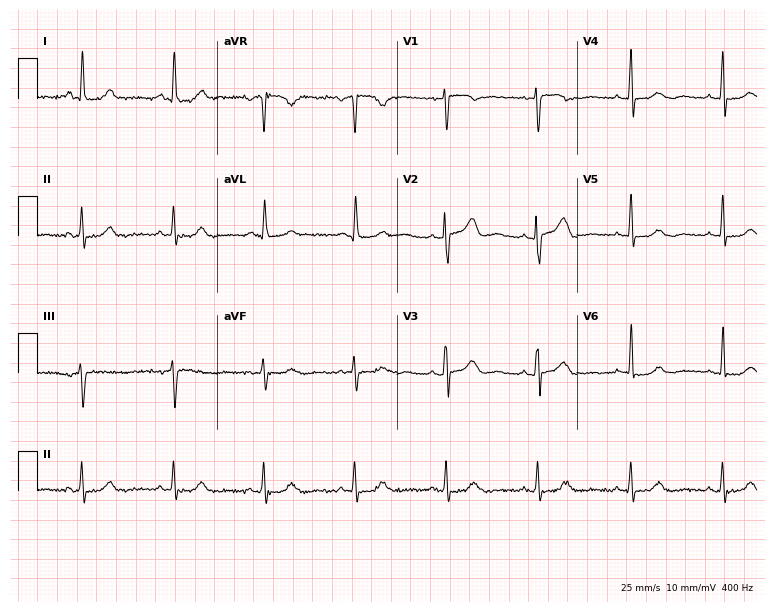
Electrocardiogram (7.3-second recording at 400 Hz), a 53-year-old woman. Of the six screened findings (first-degree AV block, right bundle branch block (RBBB), left bundle branch block (LBBB), sinus bradycardia, atrial fibrillation (AF), sinus tachycardia), none is recorded. Other findings, if any, are not listed.